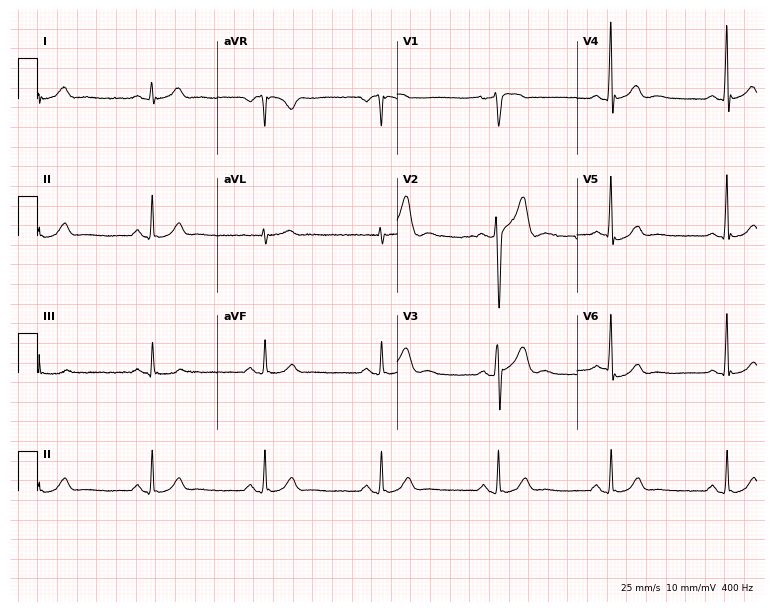
12-lead ECG from a 39-year-old male patient. Recorded interpretation: within normal limits.